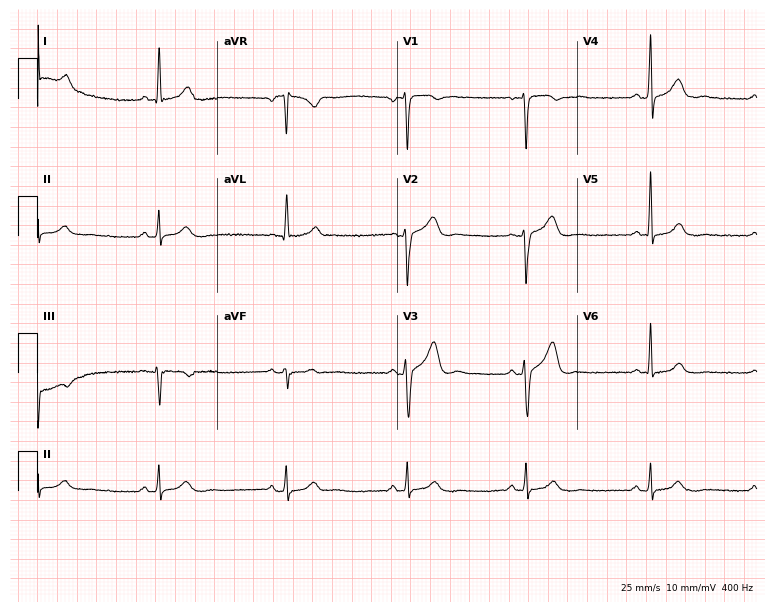
12-lead ECG from a male, 63 years old. Shows sinus bradycardia (a sinus rate of 50 beats per minute or less).